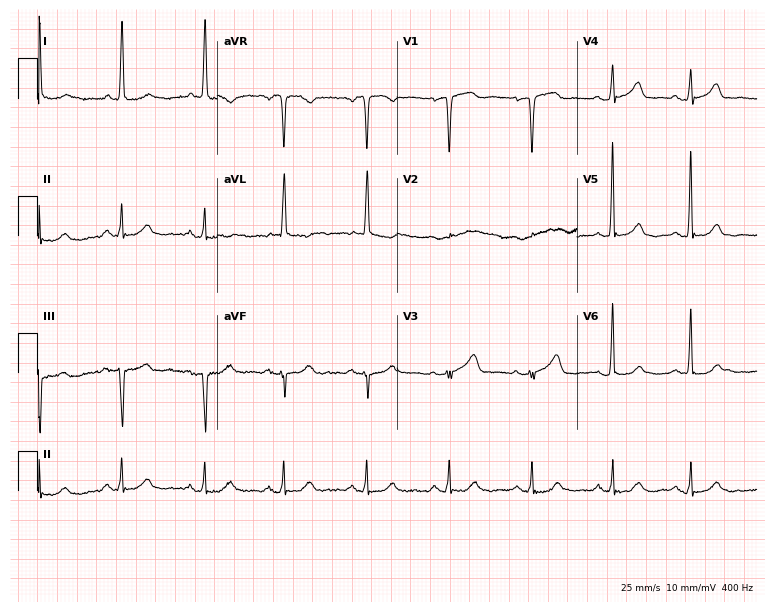
Standard 12-lead ECG recorded from a 78-year-old female. None of these six findings is recorded: first-degree AV block, right bundle branch block, left bundle branch block, sinus bradycardia, atrial fibrillation, sinus tachycardia.